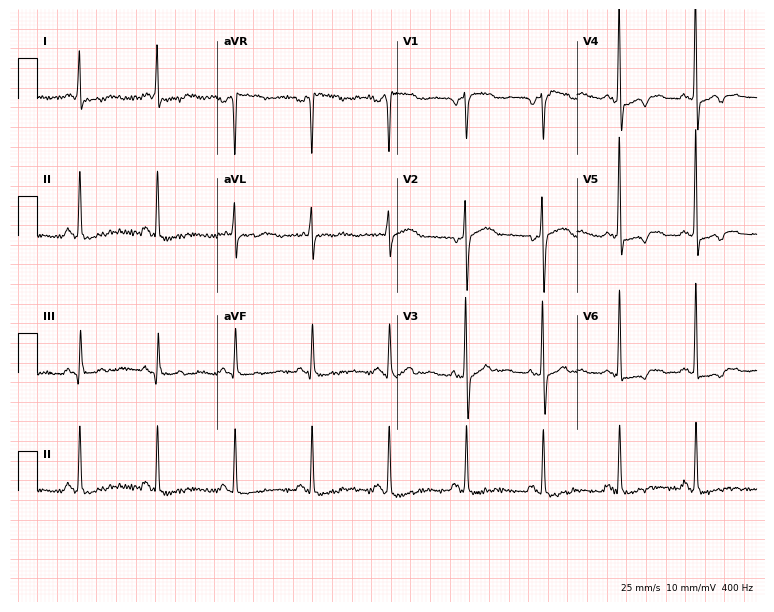
Electrocardiogram, a female, 70 years old. Of the six screened findings (first-degree AV block, right bundle branch block, left bundle branch block, sinus bradycardia, atrial fibrillation, sinus tachycardia), none is recorded.